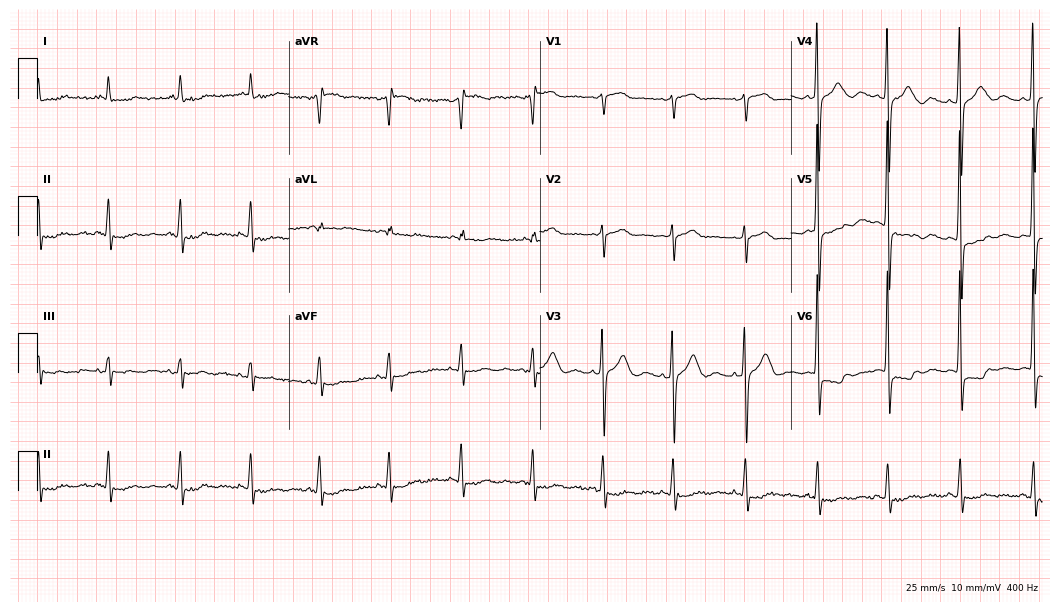
Electrocardiogram, a woman, 82 years old. Of the six screened findings (first-degree AV block, right bundle branch block, left bundle branch block, sinus bradycardia, atrial fibrillation, sinus tachycardia), none is recorded.